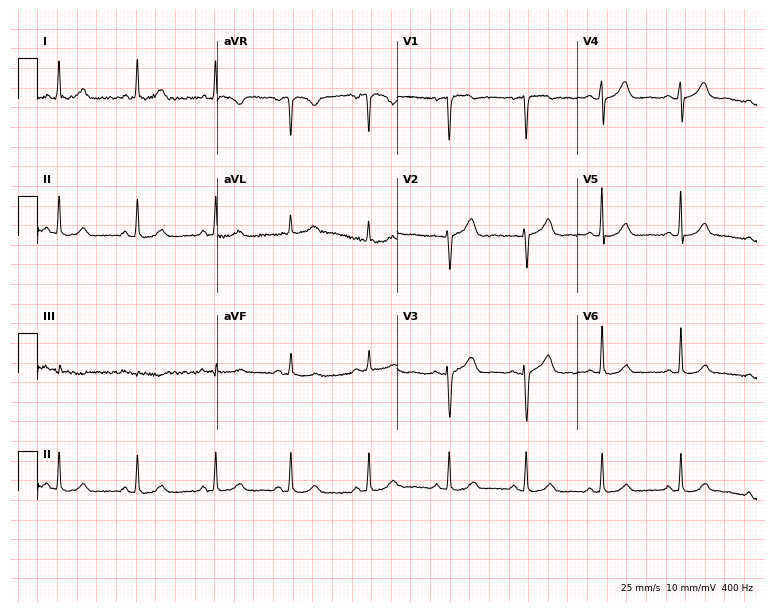
Resting 12-lead electrocardiogram. Patient: a female, 45 years old. Read as a normal ECG.